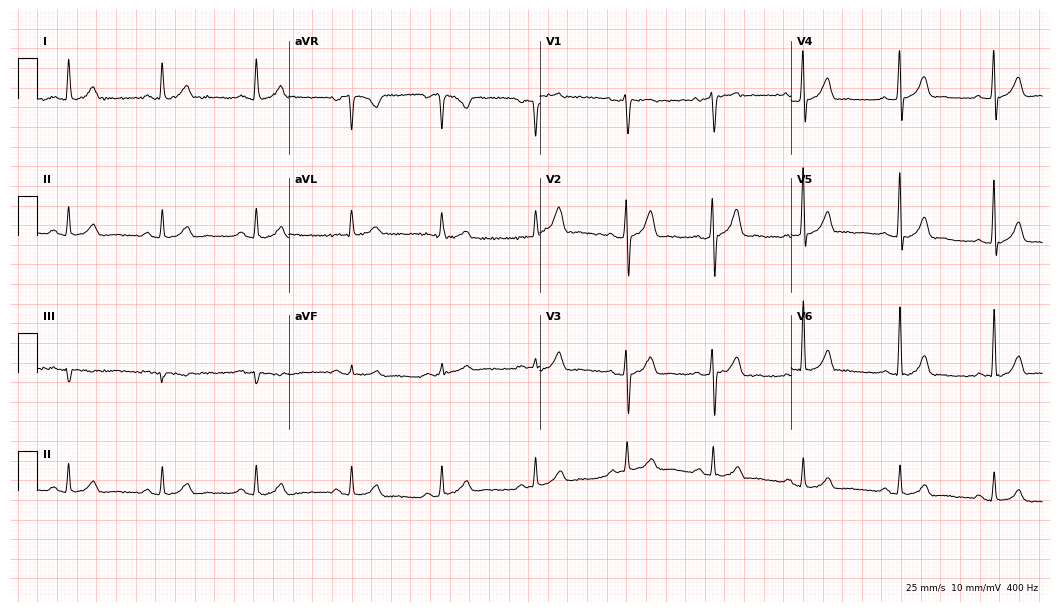
Electrocardiogram (10.2-second recording at 400 Hz), a 35-year-old male. Overall reading on record: normal ECG.